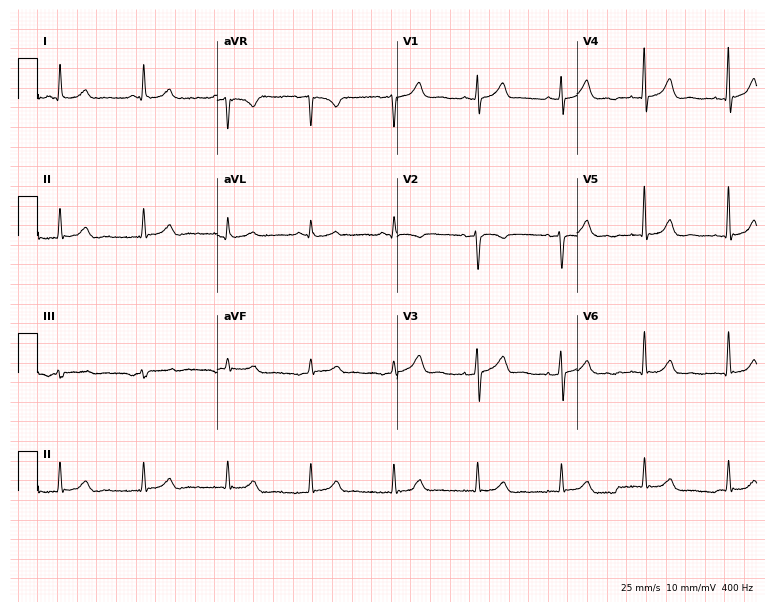
Electrocardiogram (7.3-second recording at 400 Hz), a 67-year-old male patient. Overall reading on record: normal ECG.